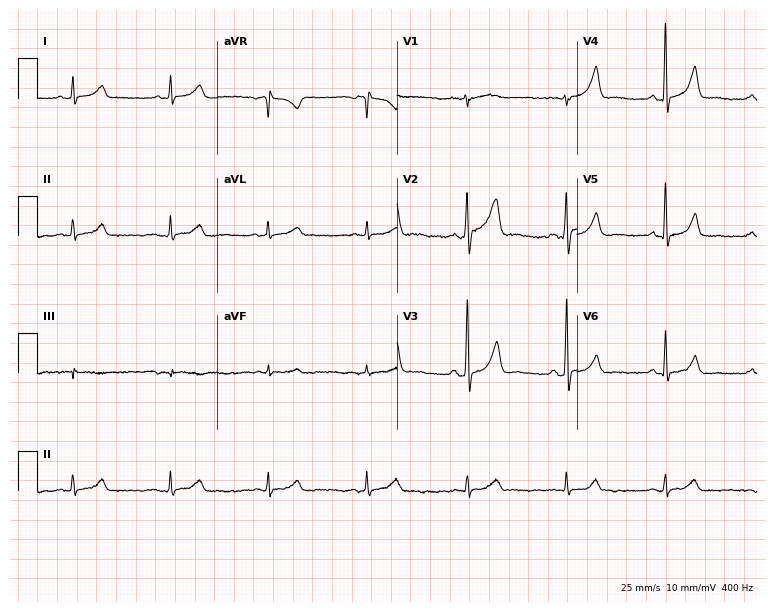
ECG — a 32-year-old male patient. Labelled as a normal ECG.